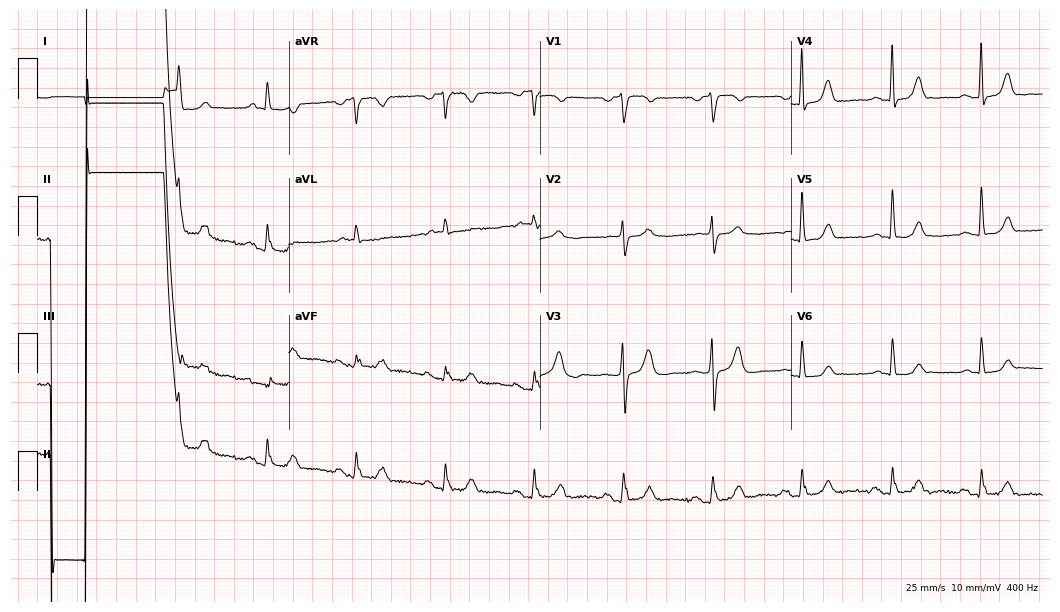
ECG (10.2-second recording at 400 Hz) — a male patient, 74 years old. Labelled as a normal ECG.